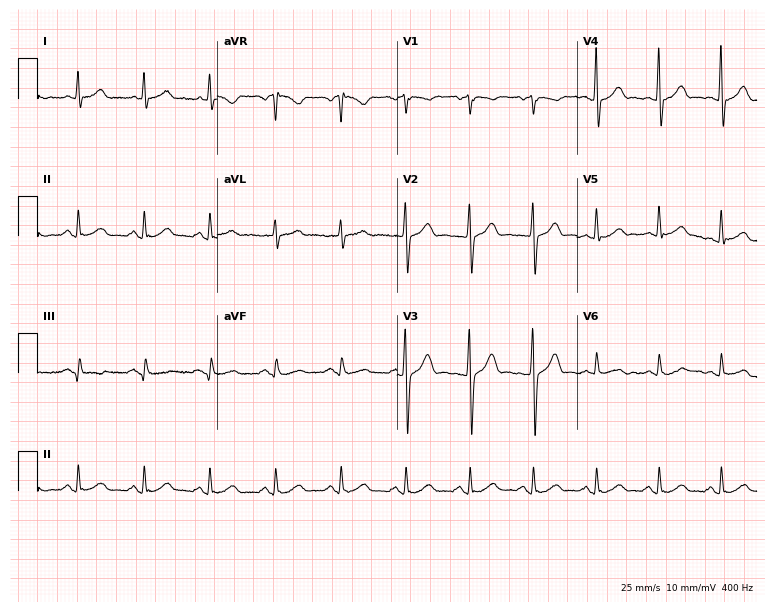
12-lead ECG from a male, 56 years old. Recorded interpretation: within normal limits.